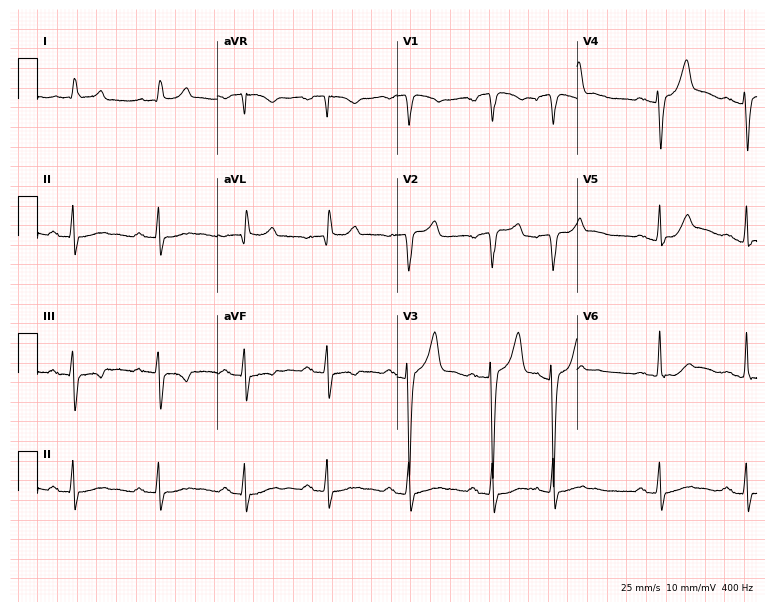
Electrocardiogram, a male patient, 64 years old. Overall reading on record: normal ECG.